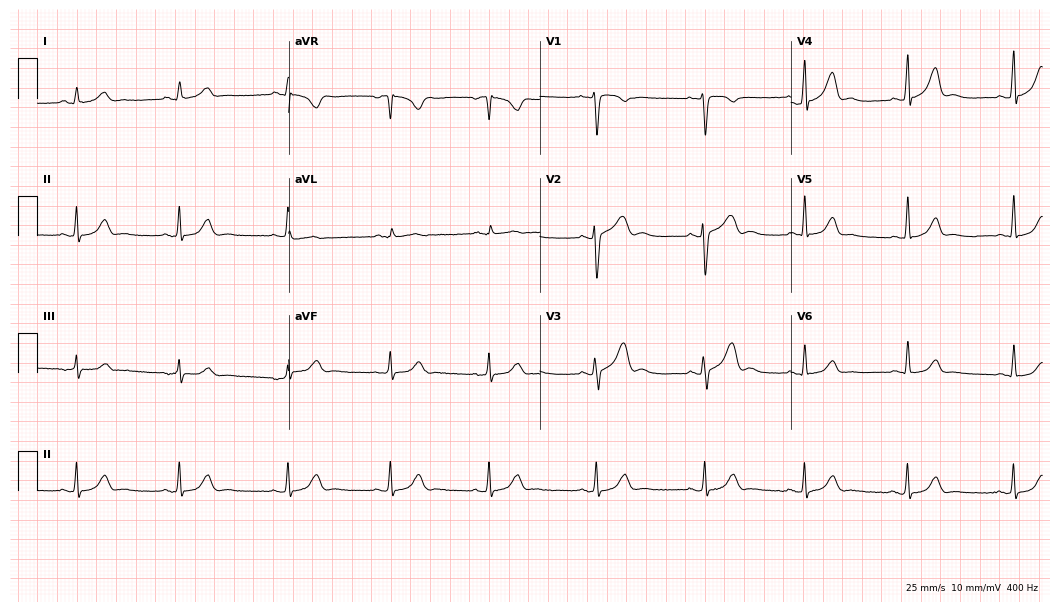
Resting 12-lead electrocardiogram (10.2-second recording at 400 Hz). Patient: a 21-year-old woman. Read as a normal ECG.